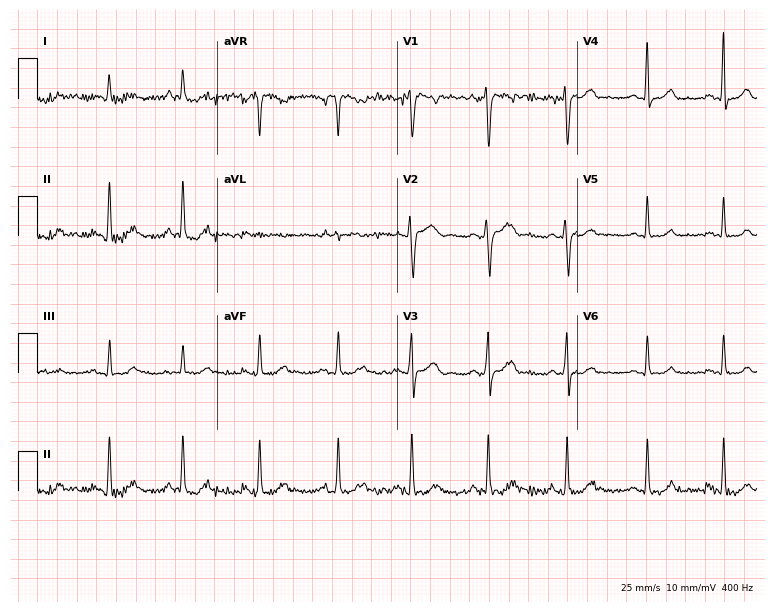
12-lead ECG (7.3-second recording at 400 Hz) from a female, 38 years old. Labelled as a normal ECG.